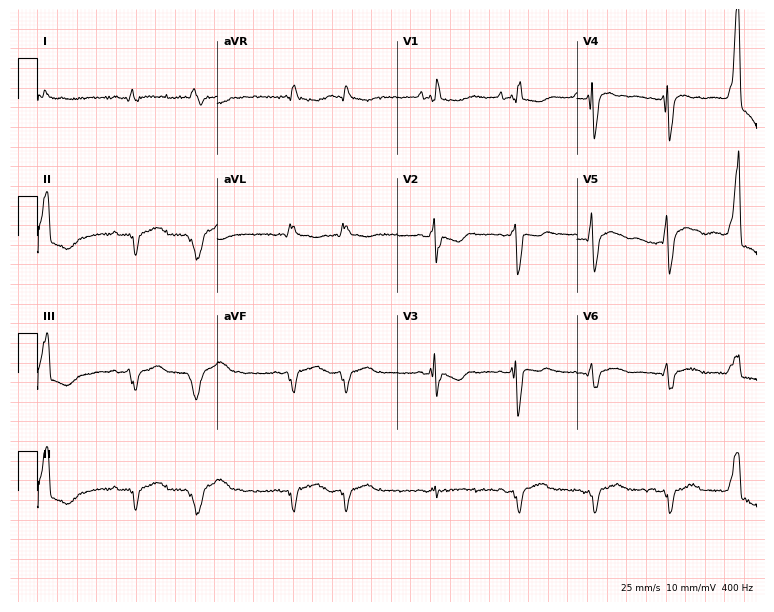
Resting 12-lead electrocardiogram. Patient: a woman, 85 years old. The tracing shows right bundle branch block (RBBB).